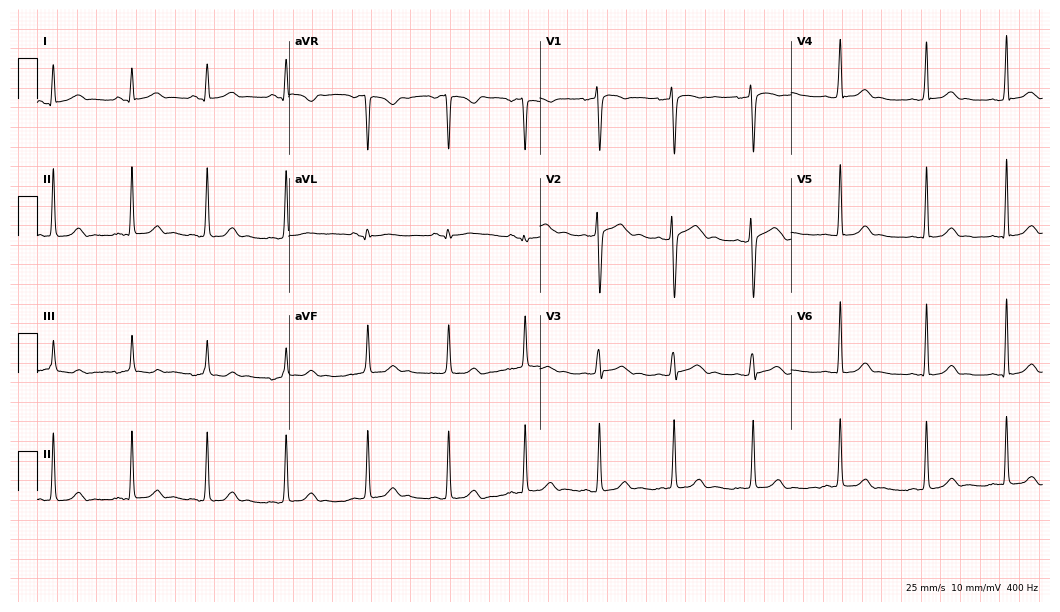
Standard 12-lead ECG recorded from a 26-year-old female patient (10.2-second recording at 400 Hz). Read as a normal ECG.